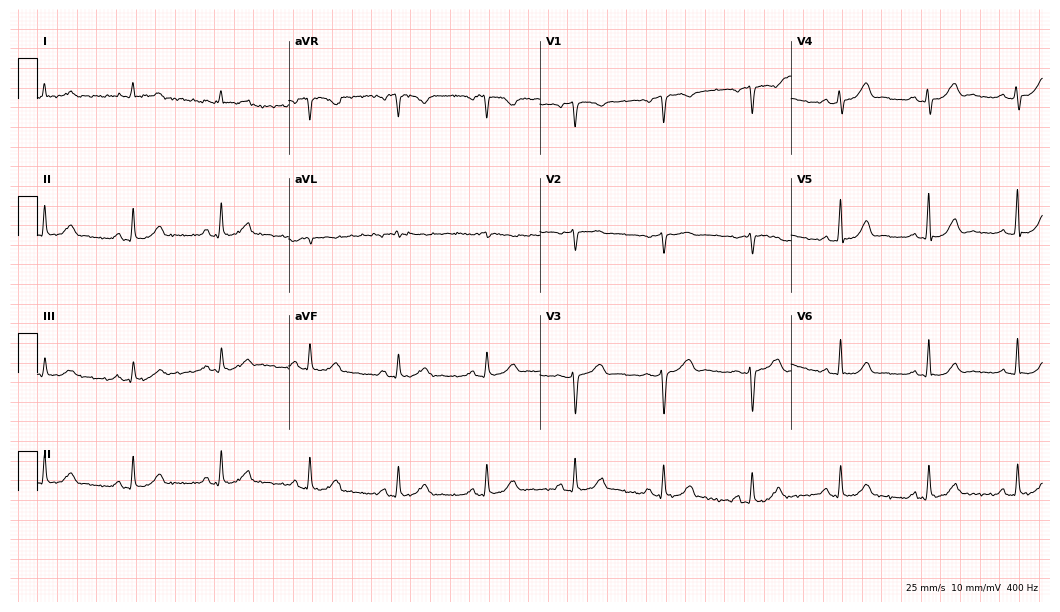
Standard 12-lead ECG recorded from a 50-year-old female patient (10.2-second recording at 400 Hz). None of these six findings is recorded: first-degree AV block, right bundle branch block, left bundle branch block, sinus bradycardia, atrial fibrillation, sinus tachycardia.